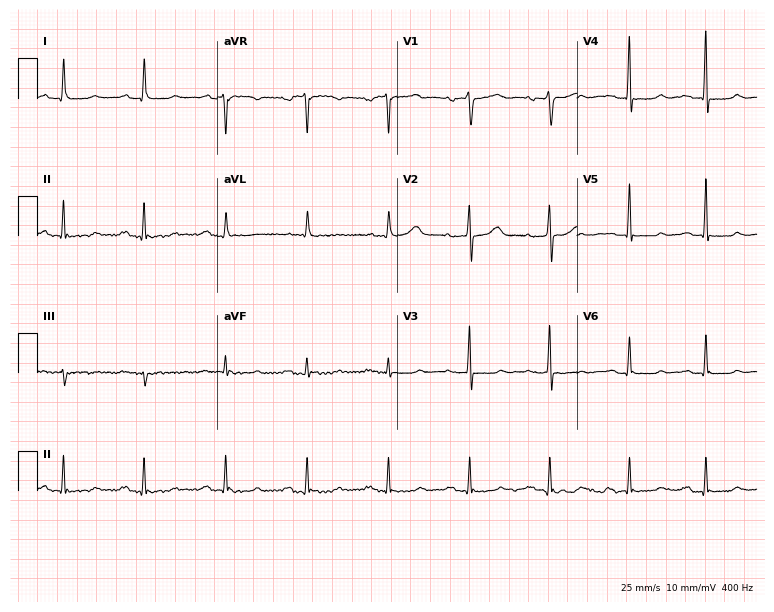
Resting 12-lead electrocardiogram (7.3-second recording at 400 Hz). Patient: a female, 56 years old. None of these six findings is recorded: first-degree AV block, right bundle branch block, left bundle branch block, sinus bradycardia, atrial fibrillation, sinus tachycardia. Findings outside these six are not listed.